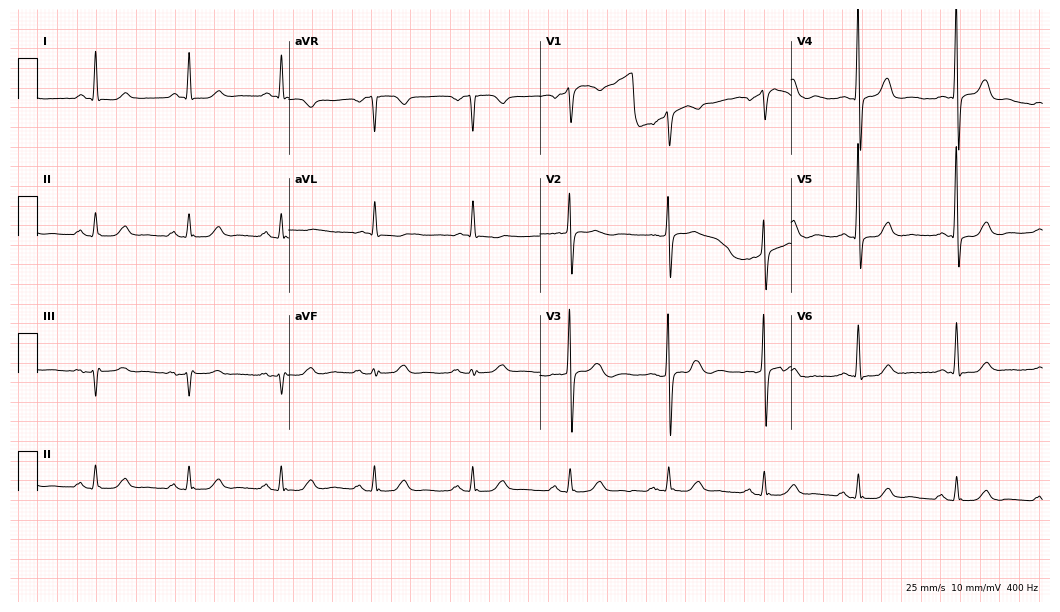
Resting 12-lead electrocardiogram (10.2-second recording at 400 Hz). Patient: a 75-year-old male. Read as a normal ECG.